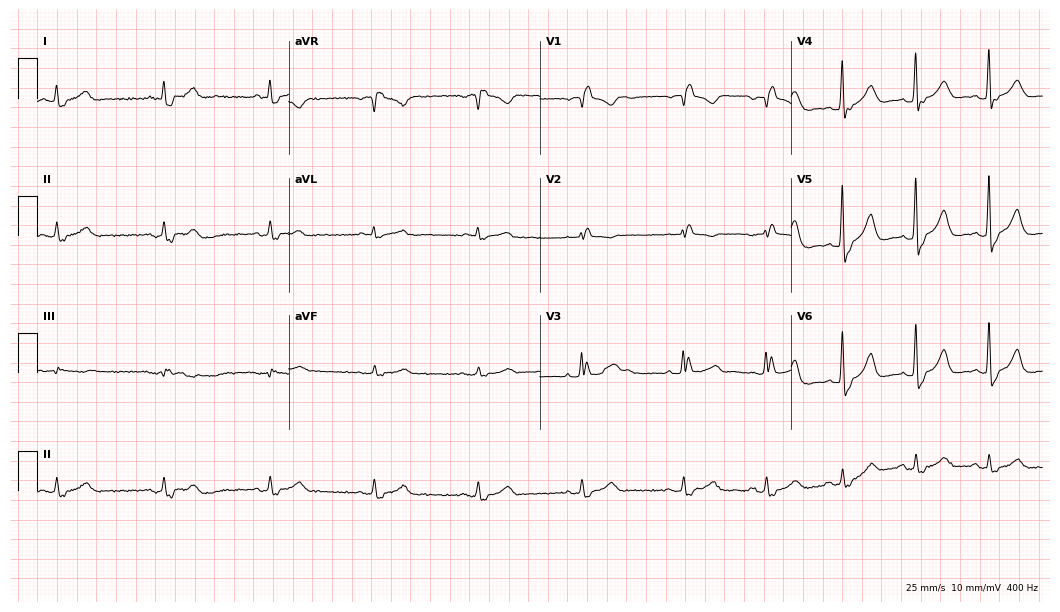
Electrocardiogram (10.2-second recording at 400 Hz), a male patient, 80 years old. Of the six screened findings (first-degree AV block, right bundle branch block (RBBB), left bundle branch block (LBBB), sinus bradycardia, atrial fibrillation (AF), sinus tachycardia), none is recorded.